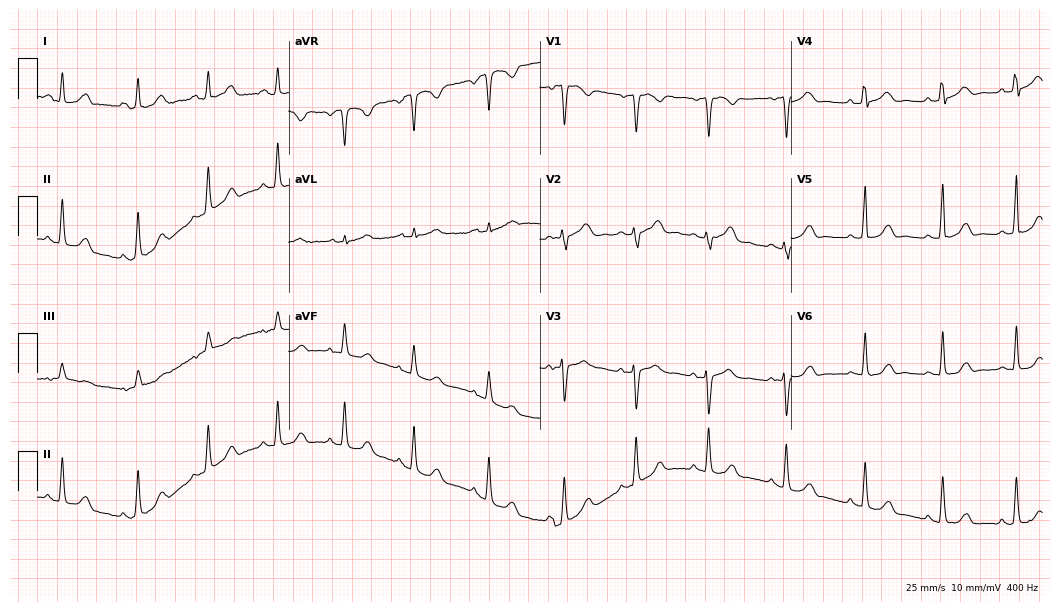
12-lead ECG from a female patient, 27 years old. Labelled as a normal ECG.